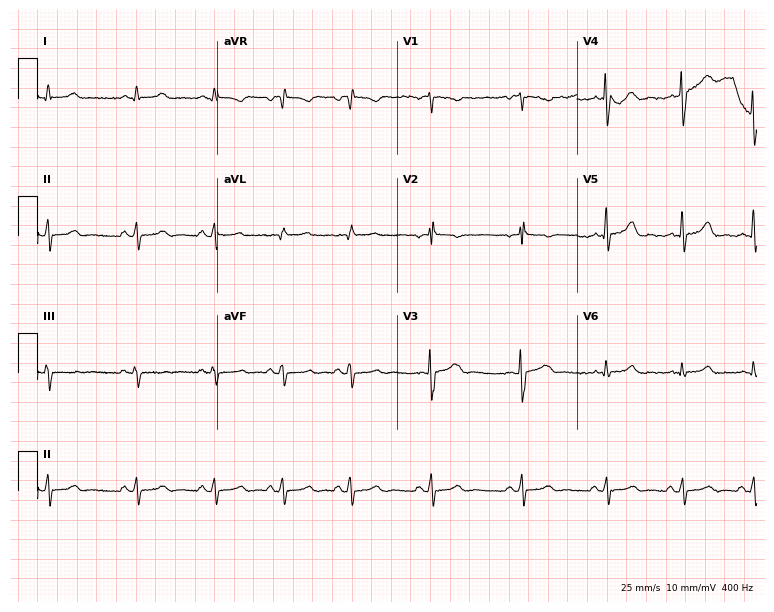
12-lead ECG from a 22-year-old female. Labelled as a normal ECG.